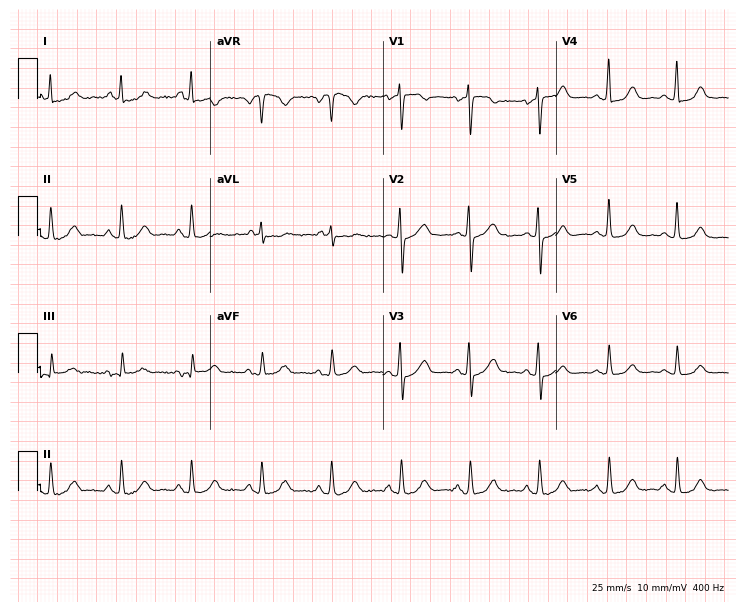
Standard 12-lead ECG recorded from a 74-year-old female patient. None of these six findings is recorded: first-degree AV block, right bundle branch block, left bundle branch block, sinus bradycardia, atrial fibrillation, sinus tachycardia.